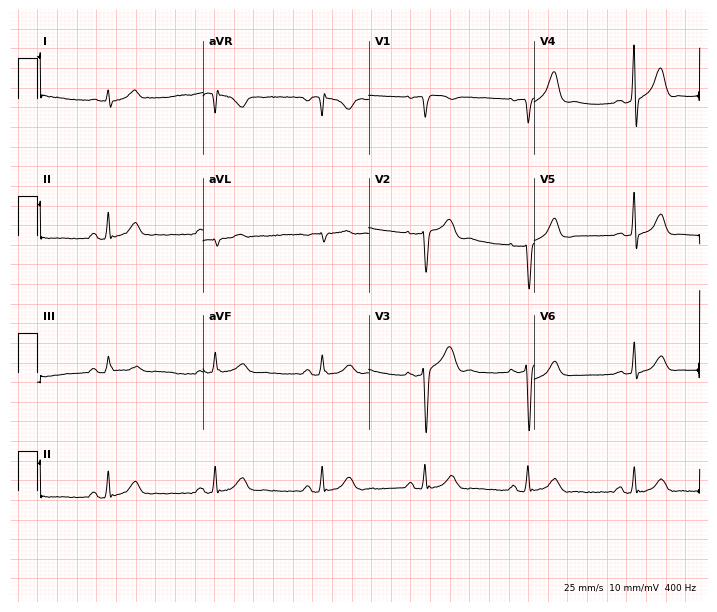
12-lead ECG from a man, 40 years old. Screened for six findings — first-degree AV block, right bundle branch block (RBBB), left bundle branch block (LBBB), sinus bradycardia, atrial fibrillation (AF), sinus tachycardia — none is recorded.